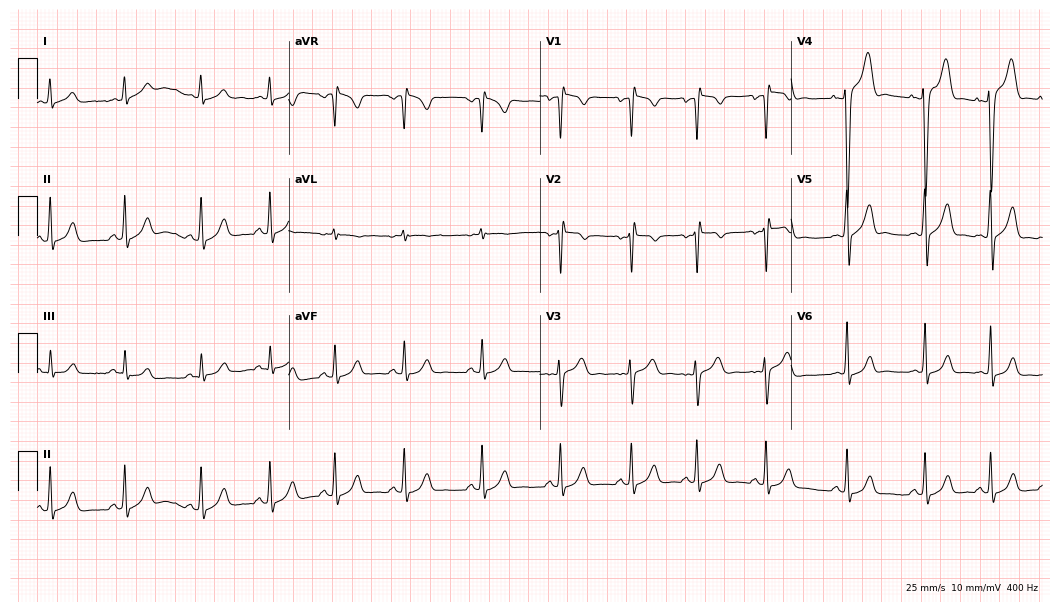
Electrocardiogram, a male patient, 19 years old. Of the six screened findings (first-degree AV block, right bundle branch block, left bundle branch block, sinus bradycardia, atrial fibrillation, sinus tachycardia), none is recorded.